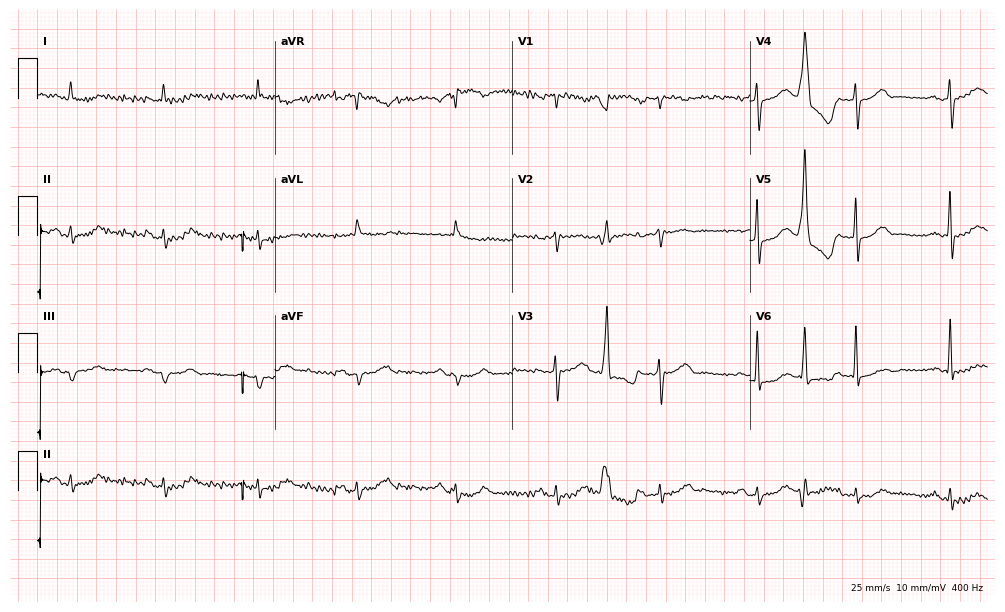
Resting 12-lead electrocardiogram (9.7-second recording at 400 Hz). Patient: a male, 80 years old. None of these six findings is recorded: first-degree AV block, right bundle branch block, left bundle branch block, sinus bradycardia, atrial fibrillation, sinus tachycardia.